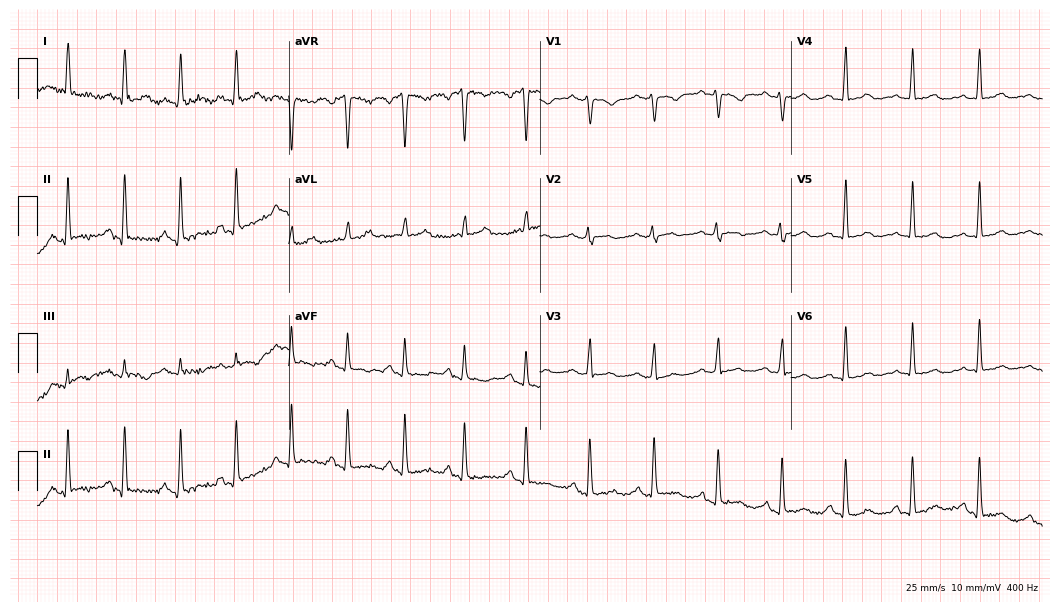
ECG — a female patient, 46 years old. Screened for six findings — first-degree AV block, right bundle branch block (RBBB), left bundle branch block (LBBB), sinus bradycardia, atrial fibrillation (AF), sinus tachycardia — none is recorded. Only these six findings were labelled.